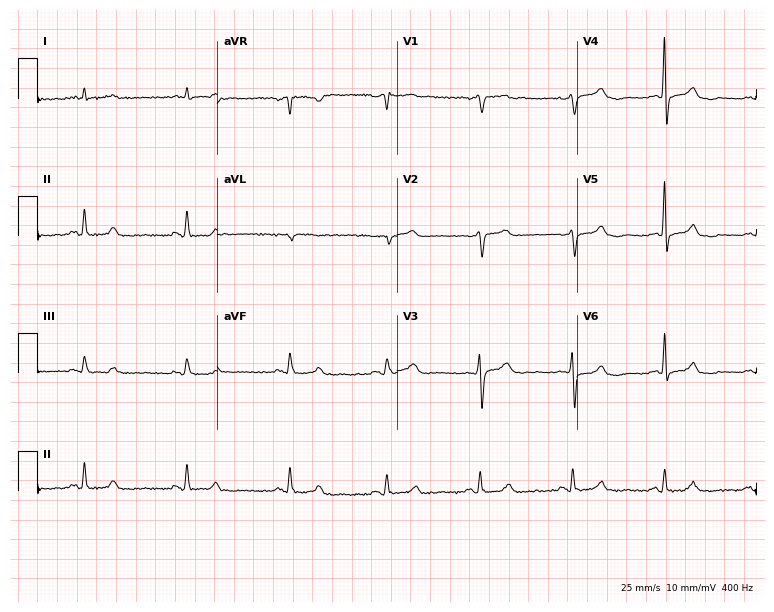
Electrocardiogram (7.3-second recording at 400 Hz), a male, 63 years old. Of the six screened findings (first-degree AV block, right bundle branch block (RBBB), left bundle branch block (LBBB), sinus bradycardia, atrial fibrillation (AF), sinus tachycardia), none is recorded.